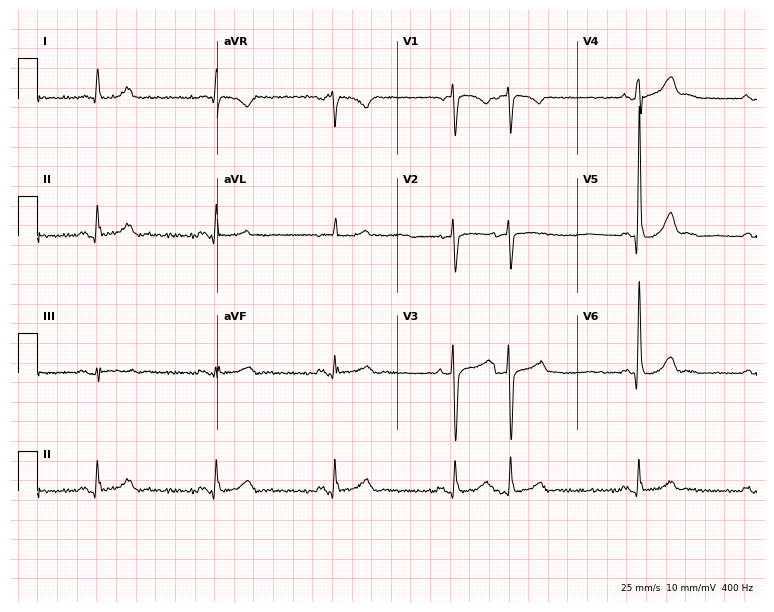
Resting 12-lead electrocardiogram. Patient: a man, 68 years old. None of these six findings is recorded: first-degree AV block, right bundle branch block, left bundle branch block, sinus bradycardia, atrial fibrillation, sinus tachycardia. Other findings, if any, are not listed.